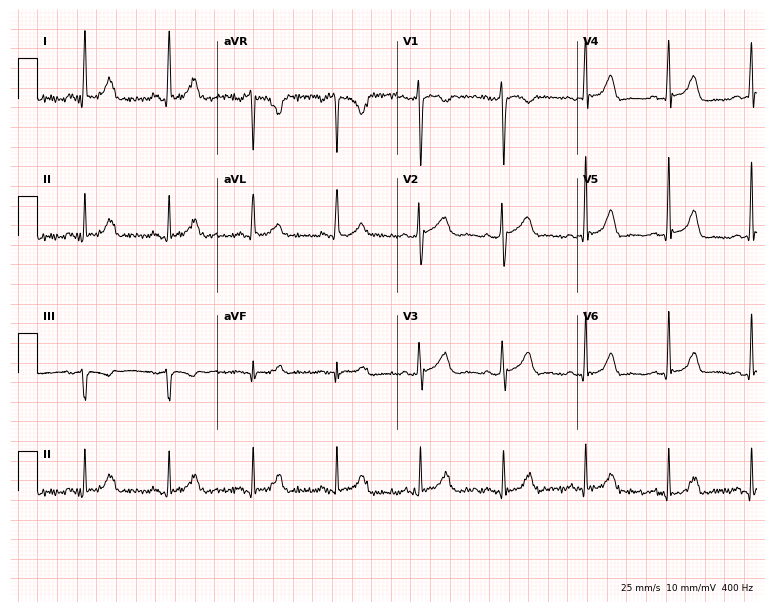
Standard 12-lead ECG recorded from a 56-year-old female patient. None of these six findings is recorded: first-degree AV block, right bundle branch block, left bundle branch block, sinus bradycardia, atrial fibrillation, sinus tachycardia. Other findings, if any, are not listed.